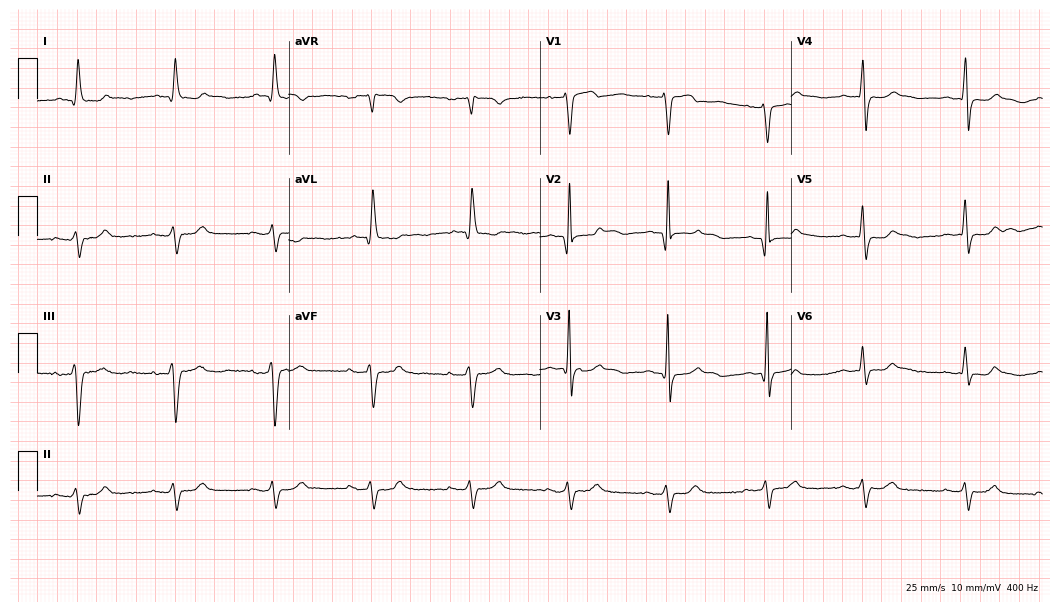
Standard 12-lead ECG recorded from a male patient, 83 years old. None of these six findings is recorded: first-degree AV block, right bundle branch block, left bundle branch block, sinus bradycardia, atrial fibrillation, sinus tachycardia. Findings outside these six are not listed.